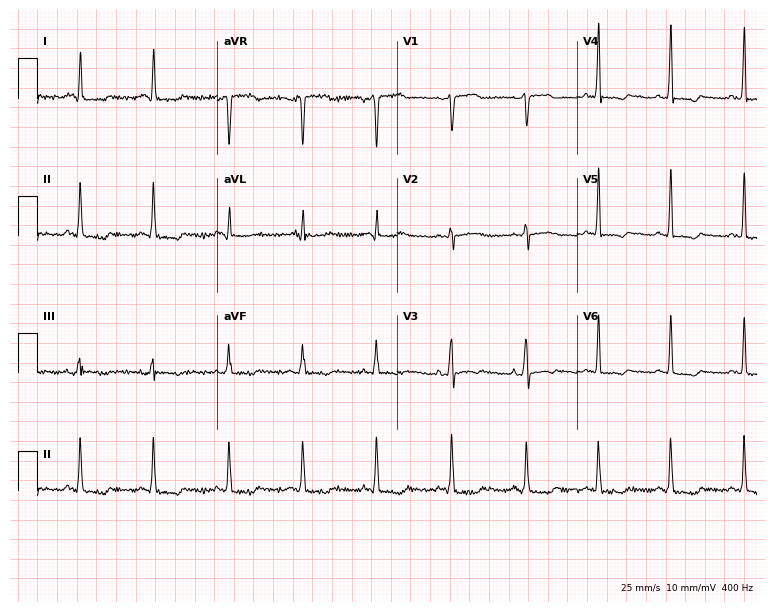
12-lead ECG from a 50-year-old female patient (7.3-second recording at 400 Hz). No first-degree AV block, right bundle branch block, left bundle branch block, sinus bradycardia, atrial fibrillation or sinus tachycardia recorded for this tracing.